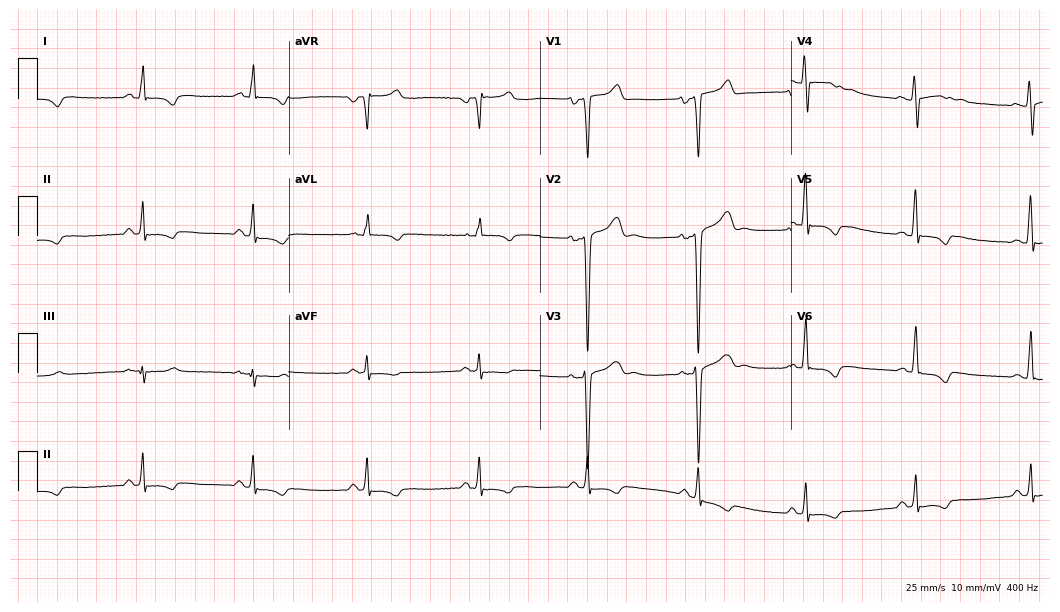
Resting 12-lead electrocardiogram (10.2-second recording at 400 Hz). Patient: a male, 37 years old. None of these six findings is recorded: first-degree AV block, right bundle branch block, left bundle branch block, sinus bradycardia, atrial fibrillation, sinus tachycardia. Findings outside these six are not listed.